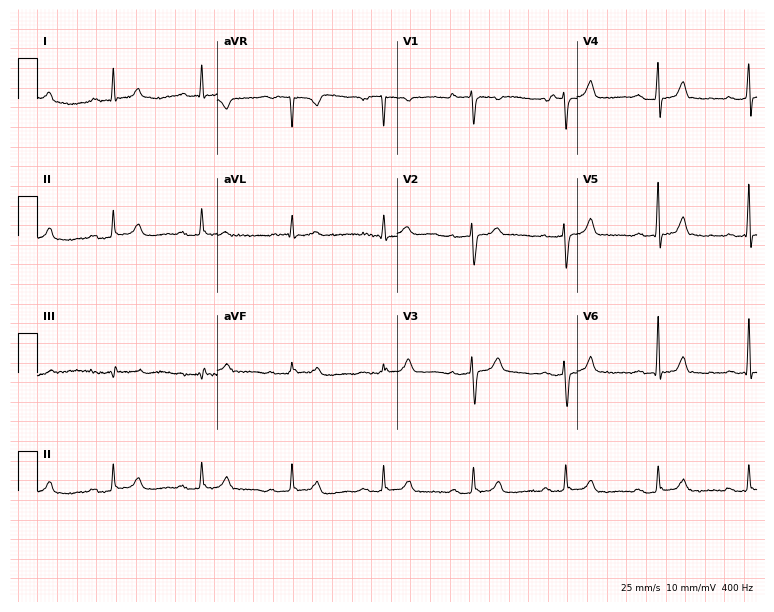
12-lead ECG from a 54-year-old man. Findings include first-degree AV block.